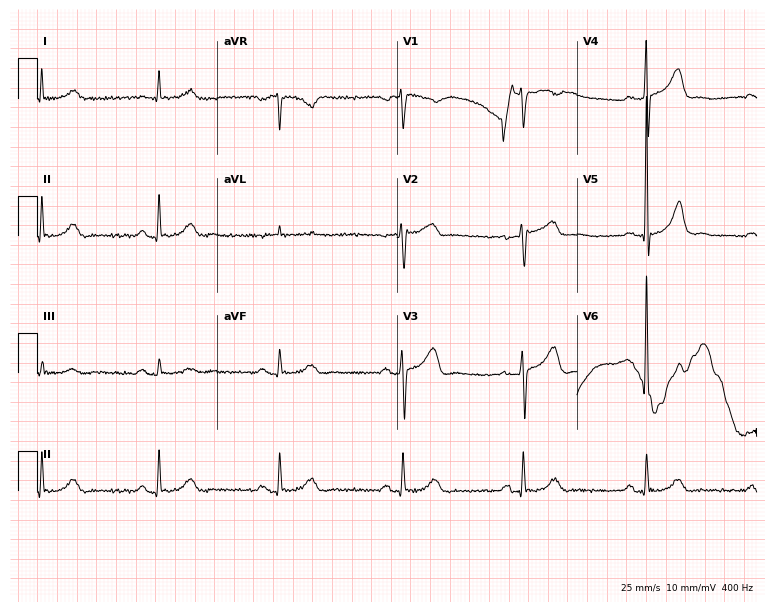
Electrocardiogram, a male, 71 years old. Interpretation includes sinus bradycardia (a sinus rate of 50 beats per minute or less).